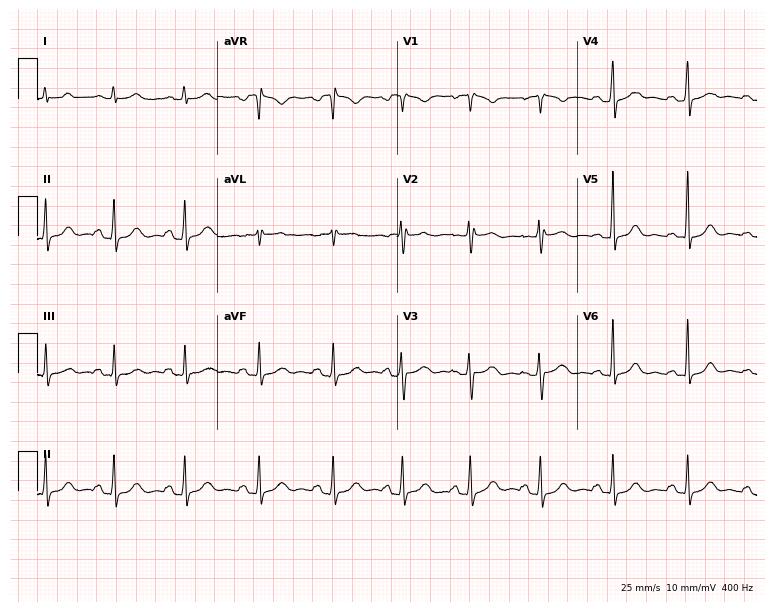
Resting 12-lead electrocardiogram. Patient: a 36-year-old female. Read as a normal ECG.